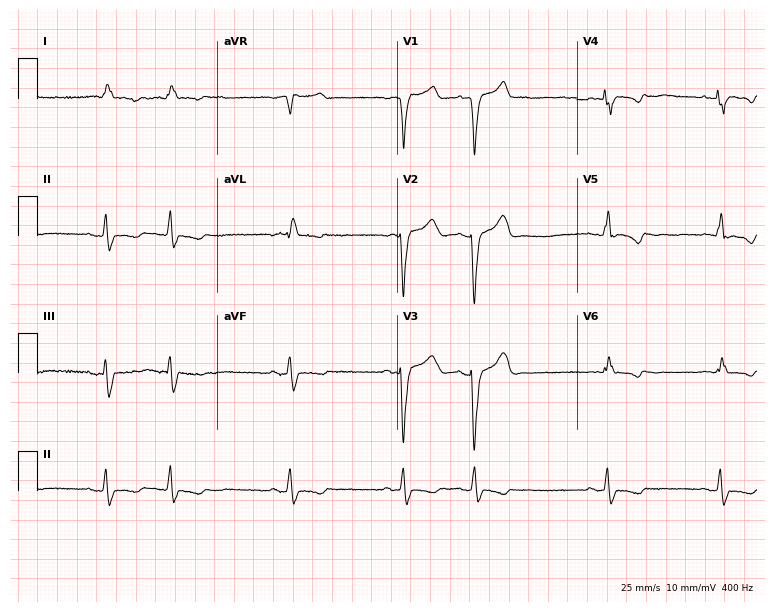
12-lead ECG from a man, 77 years old. Shows left bundle branch block.